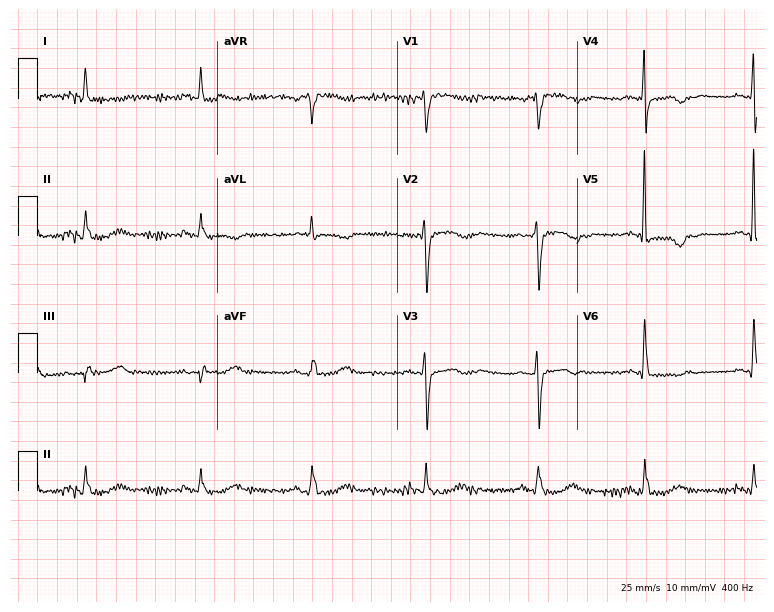
Standard 12-lead ECG recorded from a female patient, 71 years old (7.3-second recording at 400 Hz). None of these six findings is recorded: first-degree AV block, right bundle branch block, left bundle branch block, sinus bradycardia, atrial fibrillation, sinus tachycardia.